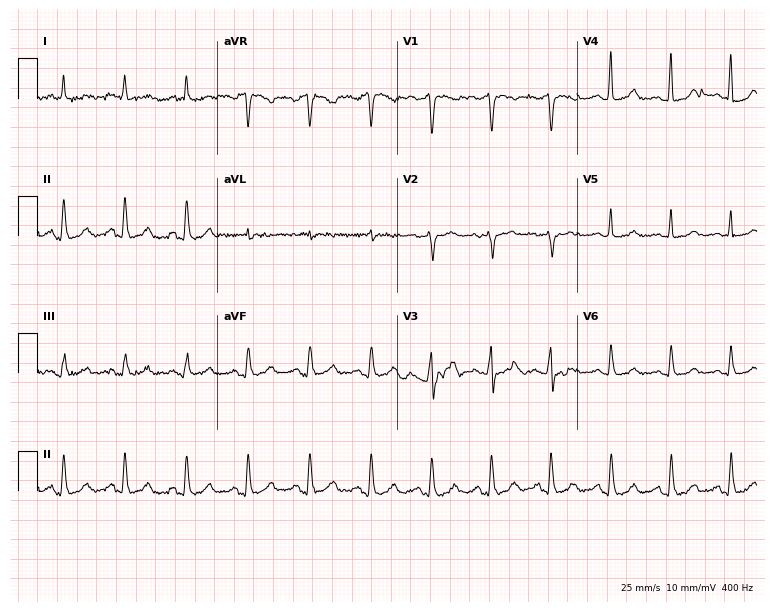
12-lead ECG from a 23-year-old female patient (7.3-second recording at 400 Hz). Recorded interpretation: within normal limits.